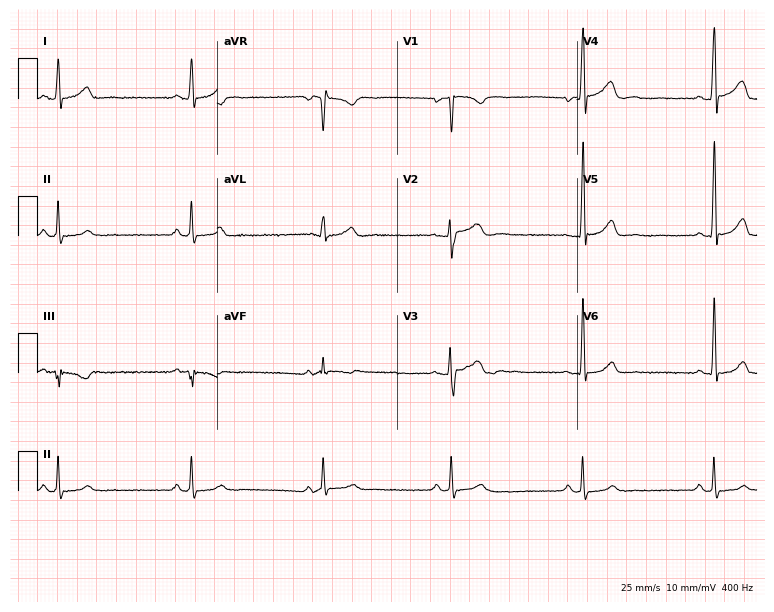
Standard 12-lead ECG recorded from a 36-year-old man (7.3-second recording at 400 Hz). The tracing shows sinus bradycardia (a sinus rate of 50 beats per minute or less).